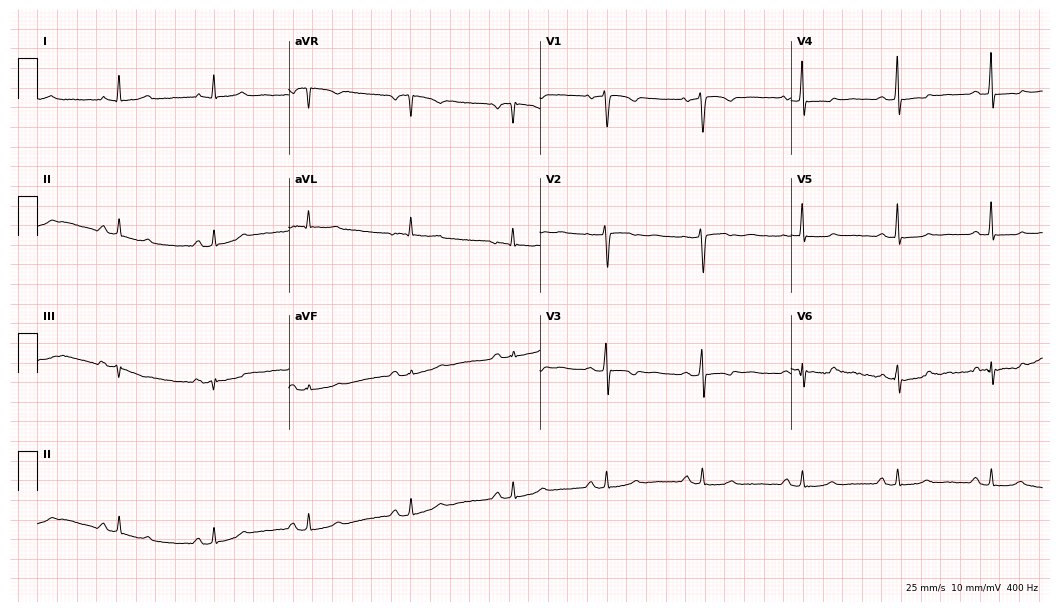
Resting 12-lead electrocardiogram. Patient: a 48-year-old female. None of these six findings is recorded: first-degree AV block, right bundle branch block, left bundle branch block, sinus bradycardia, atrial fibrillation, sinus tachycardia.